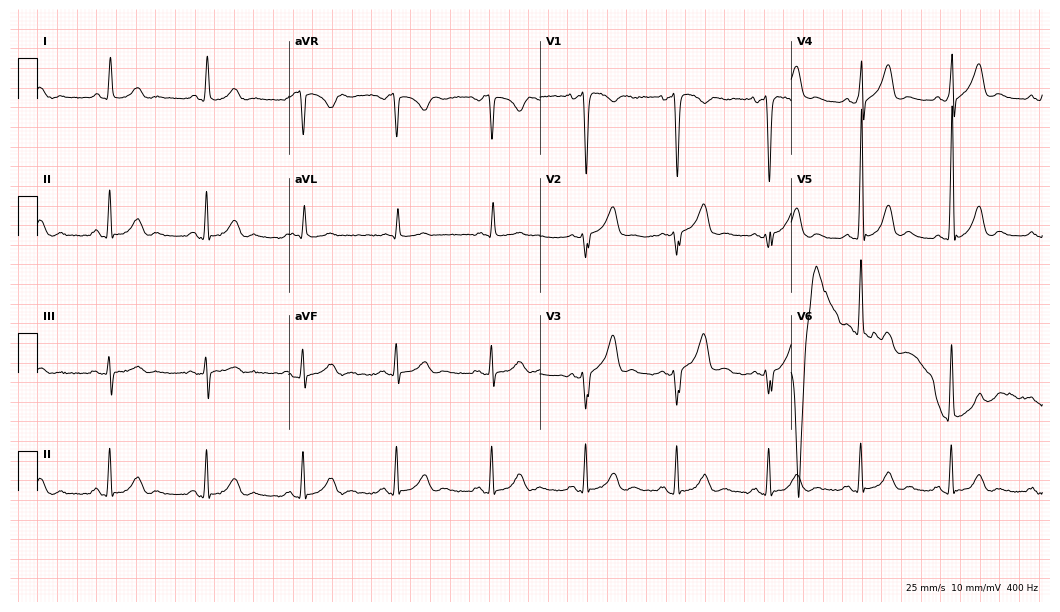
Standard 12-lead ECG recorded from a male patient, 50 years old. None of these six findings is recorded: first-degree AV block, right bundle branch block, left bundle branch block, sinus bradycardia, atrial fibrillation, sinus tachycardia.